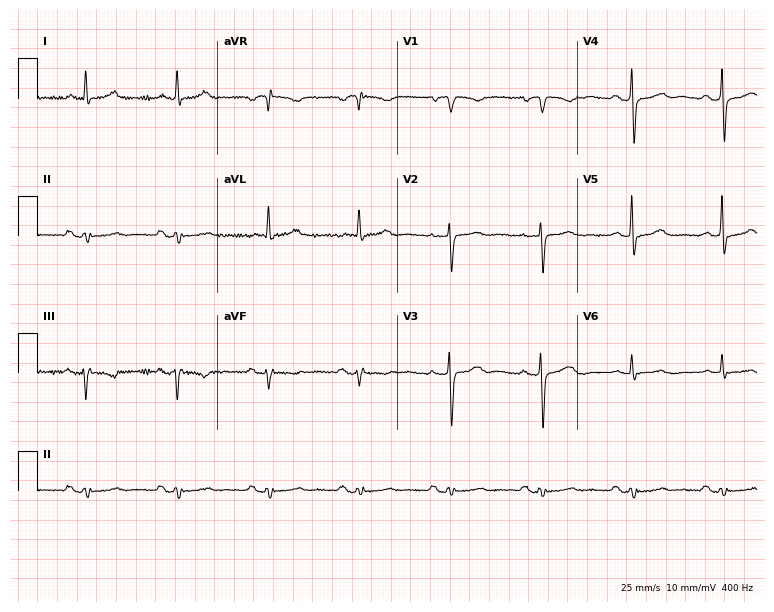
ECG — a 67-year-old female patient. Labelled as a normal ECG.